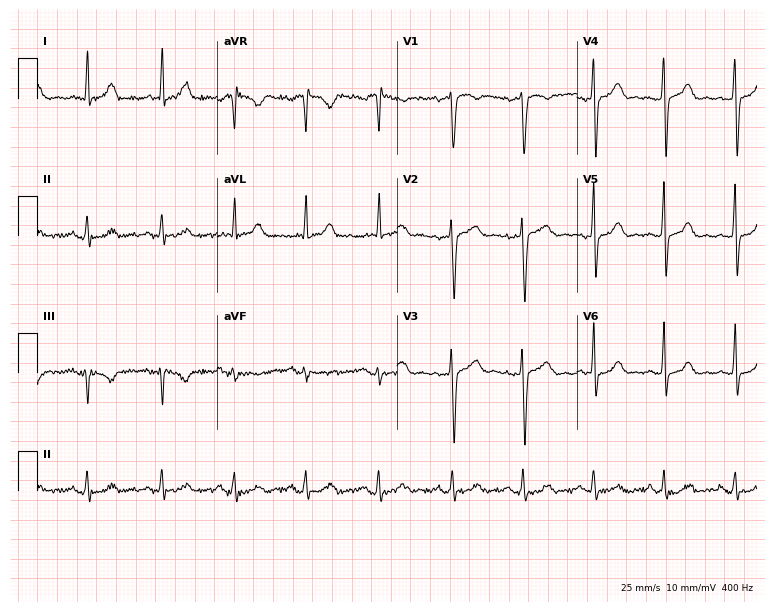
ECG — a 45-year-old female. Labelled as a normal ECG.